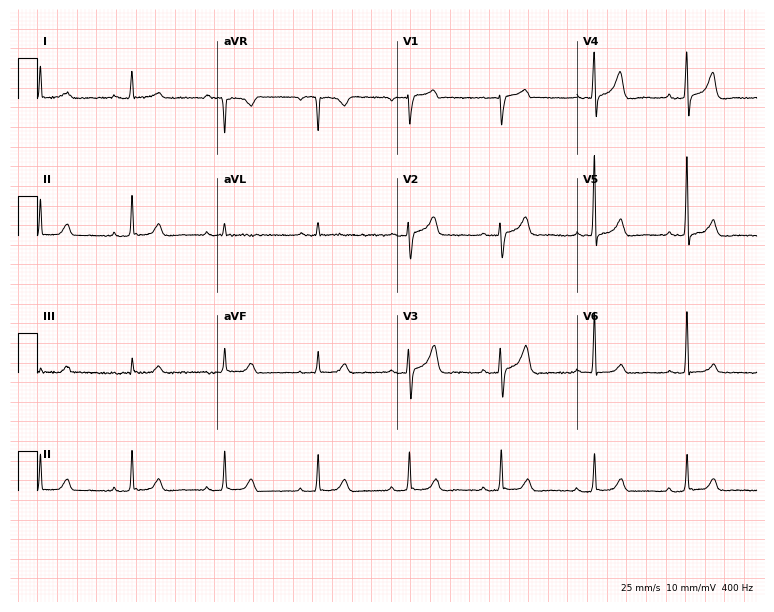
Standard 12-lead ECG recorded from a male, 80 years old. Read as a normal ECG.